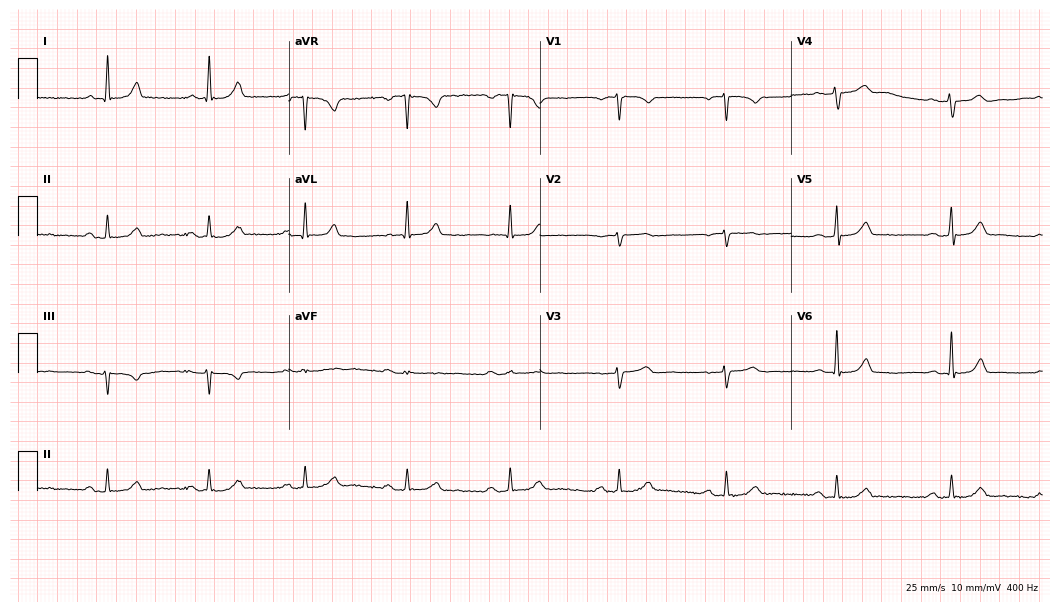
12-lead ECG from a 64-year-old woman. Findings include first-degree AV block.